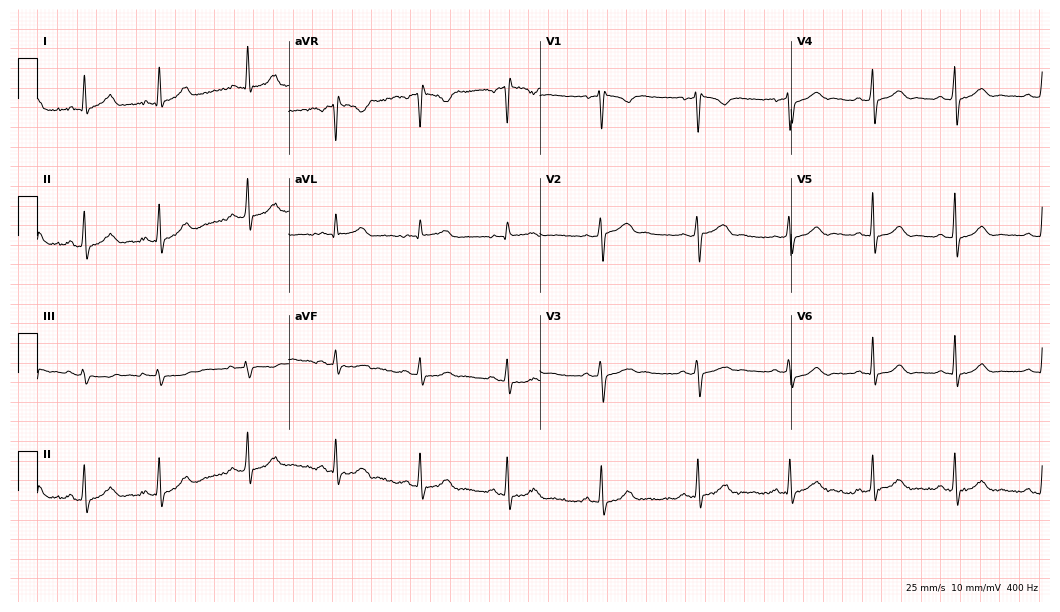
Electrocardiogram (10.2-second recording at 400 Hz), a 30-year-old woman. Overall reading on record: normal ECG.